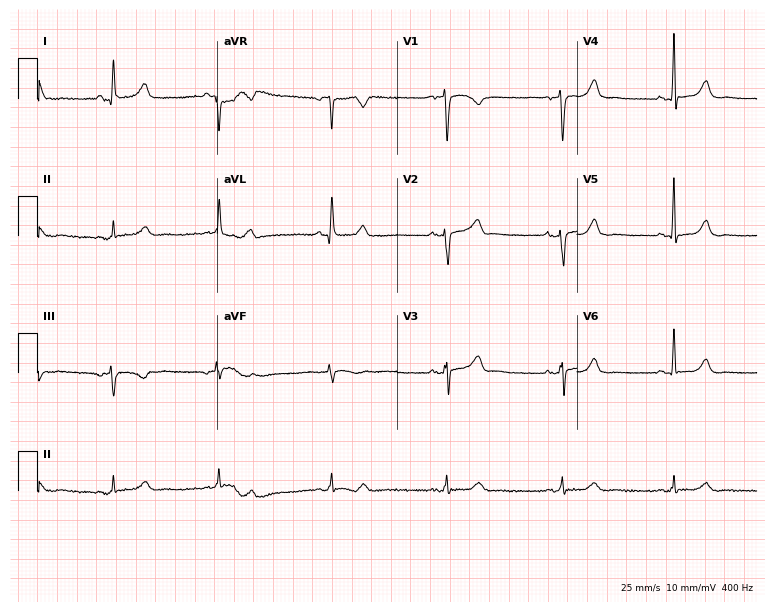
Electrocardiogram, a female patient, 61 years old. Overall reading on record: normal ECG.